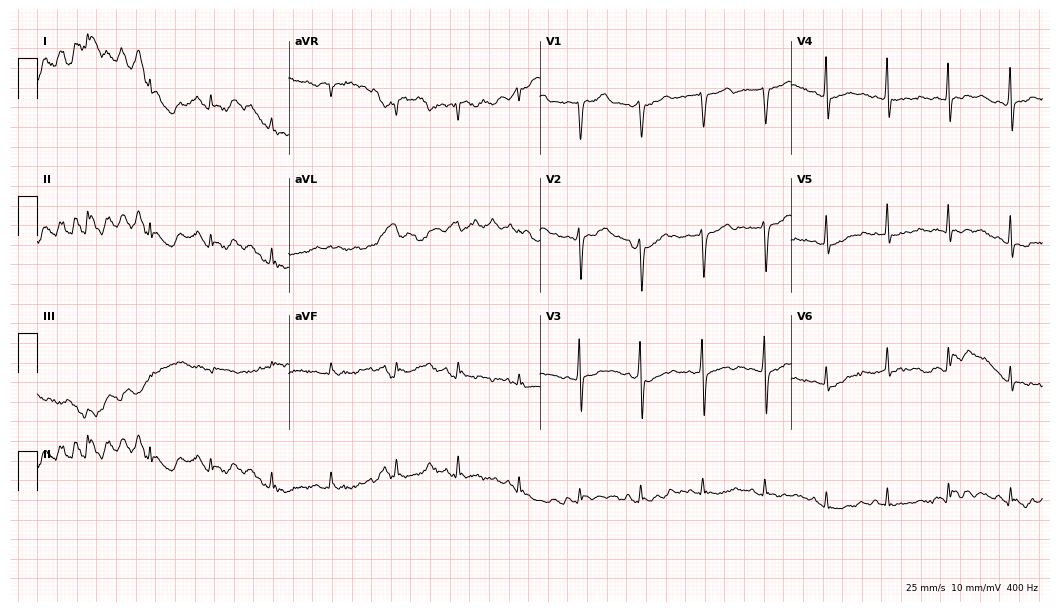
12-lead ECG from an 80-year-old male patient (10.2-second recording at 400 Hz). No first-degree AV block, right bundle branch block, left bundle branch block, sinus bradycardia, atrial fibrillation or sinus tachycardia recorded for this tracing. Findings outside these six are not listed.